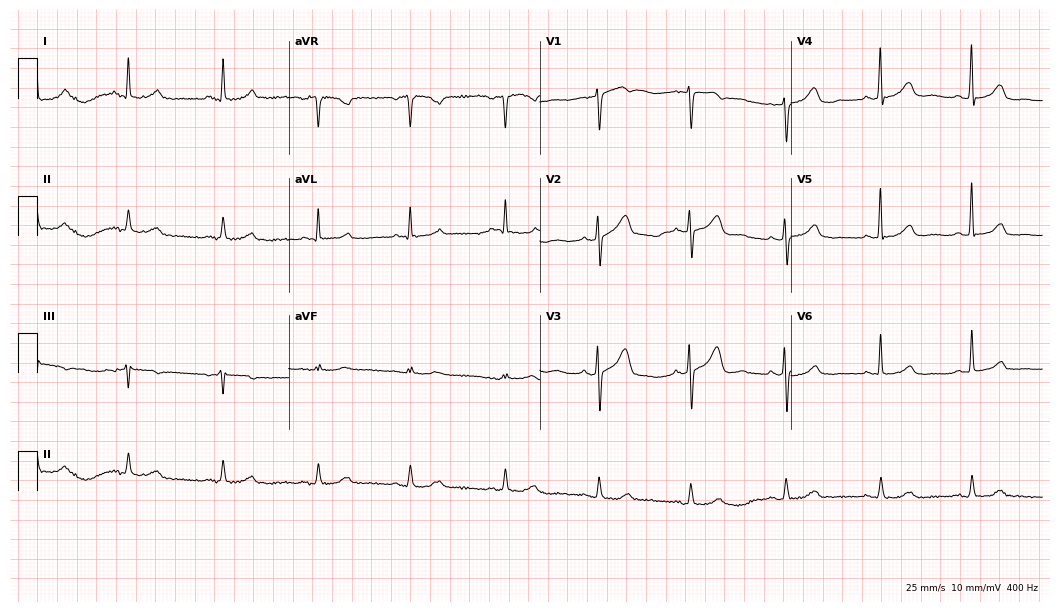
ECG (10.2-second recording at 400 Hz) — an 85-year-old female patient. Labelled as a normal ECG.